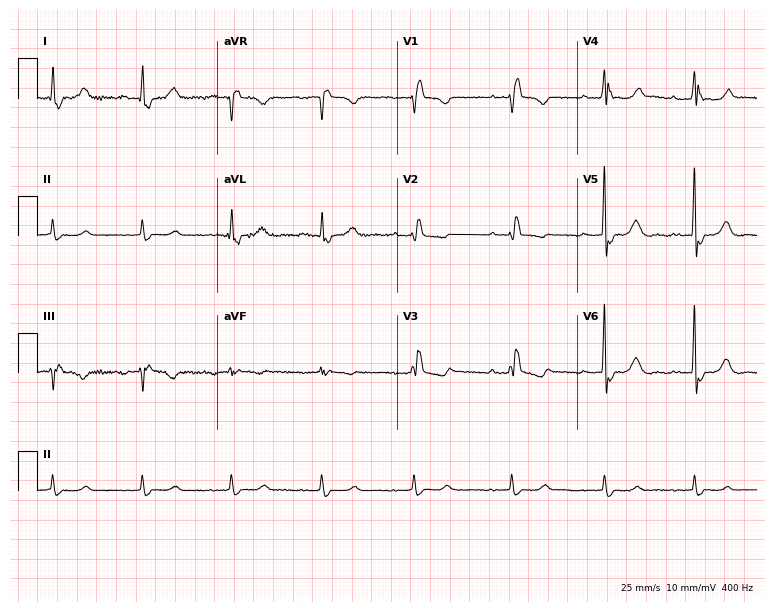
12-lead ECG from a 74-year-old female patient. Findings include right bundle branch block (RBBB).